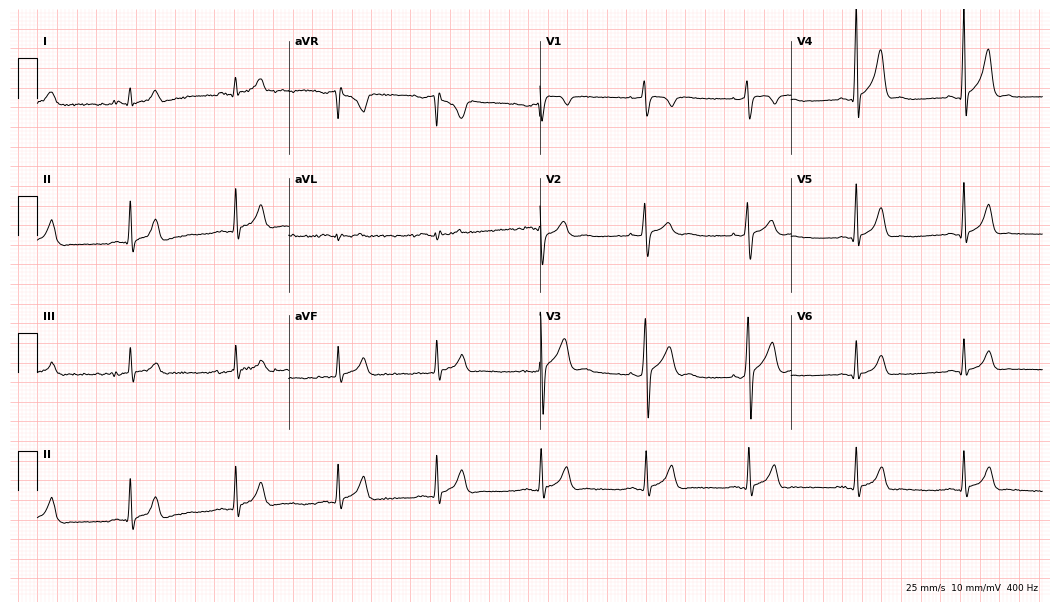
12-lead ECG from a 23-year-old male. Recorded interpretation: within normal limits.